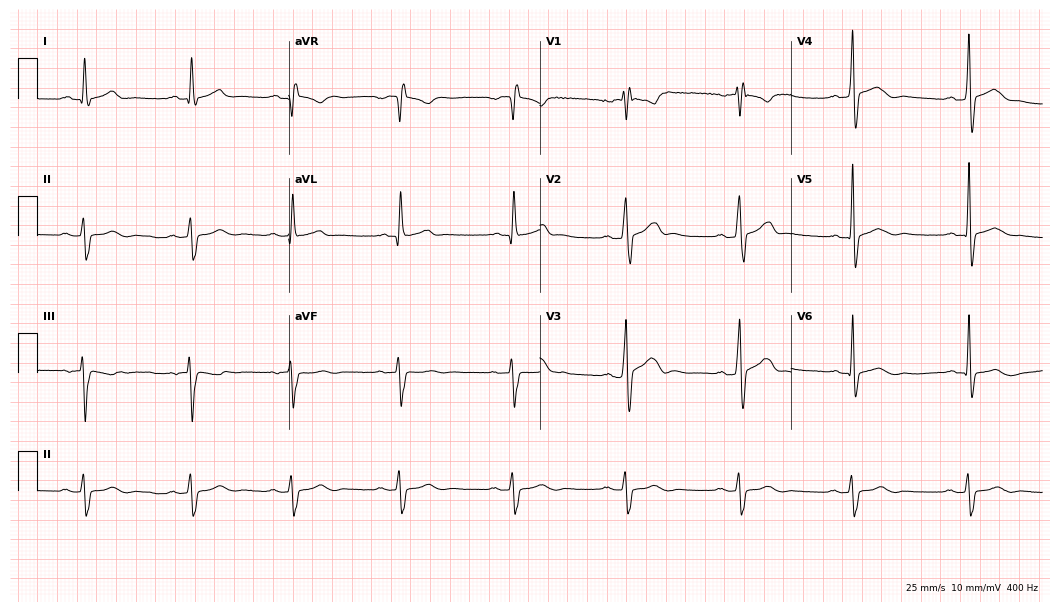
Standard 12-lead ECG recorded from a 30-year-old man. None of these six findings is recorded: first-degree AV block, right bundle branch block, left bundle branch block, sinus bradycardia, atrial fibrillation, sinus tachycardia.